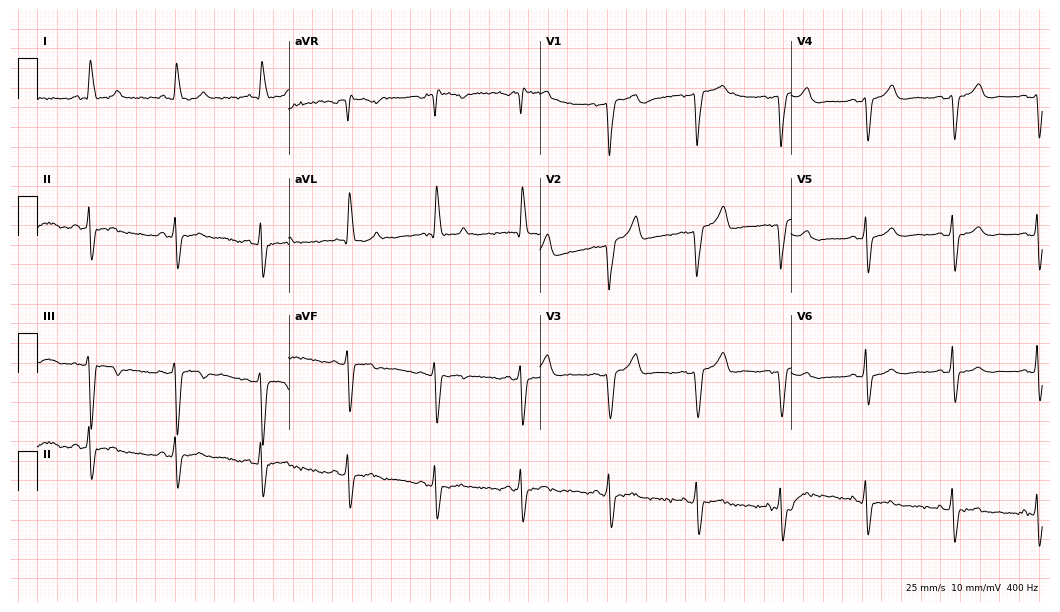
Standard 12-lead ECG recorded from a 76-year-old woman (10.2-second recording at 400 Hz). The tracing shows left bundle branch block.